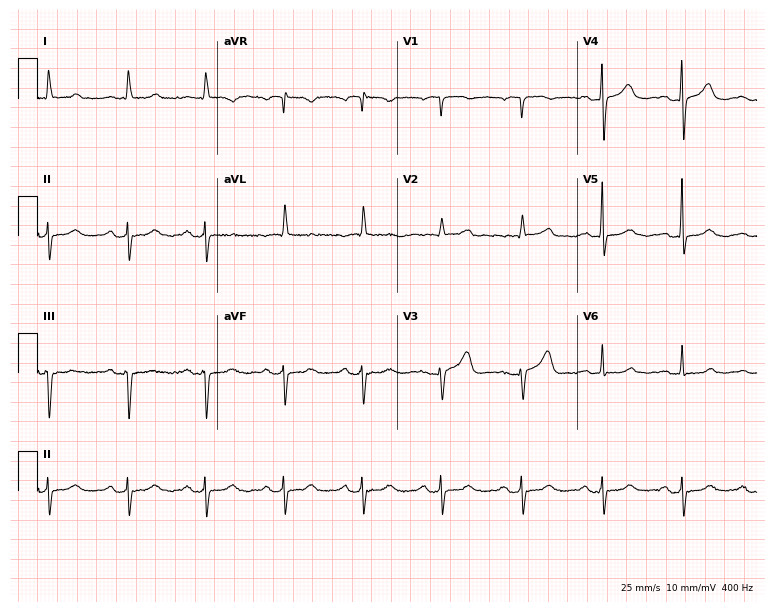
12-lead ECG from an 82-year-old female. Screened for six findings — first-degree AV block, right bundle branch block (RBBB), left bundle branch block (LBBB), sinus bradycardia, atrial fibrillation (AF), sinus tachycardia — none is recorded. Findings outside these six are not listed.